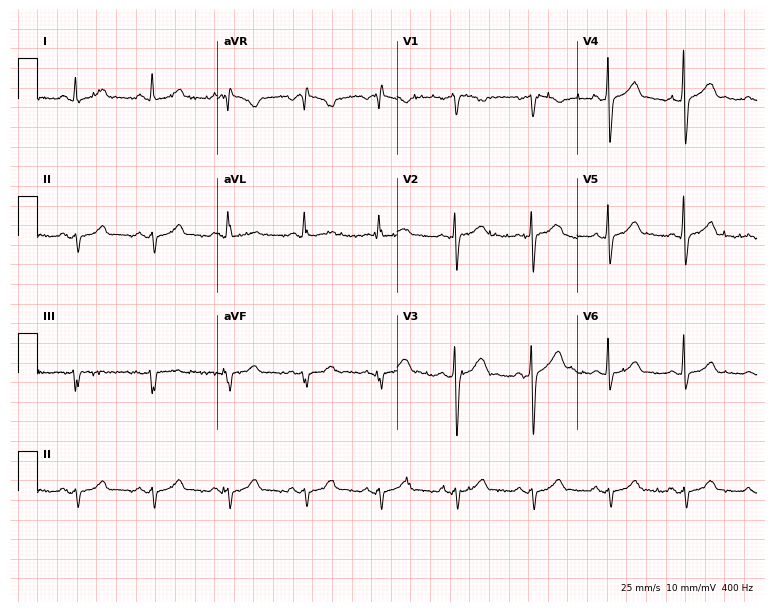
12-lead ECG from a 58-year-old man. No first-degree AV block, right bundle branch block (RBBB), left bundle branch block (LBBB), sinus bradycardia, atrial fibrillation (AF) or sinus tachycardia recorded for this tracing.